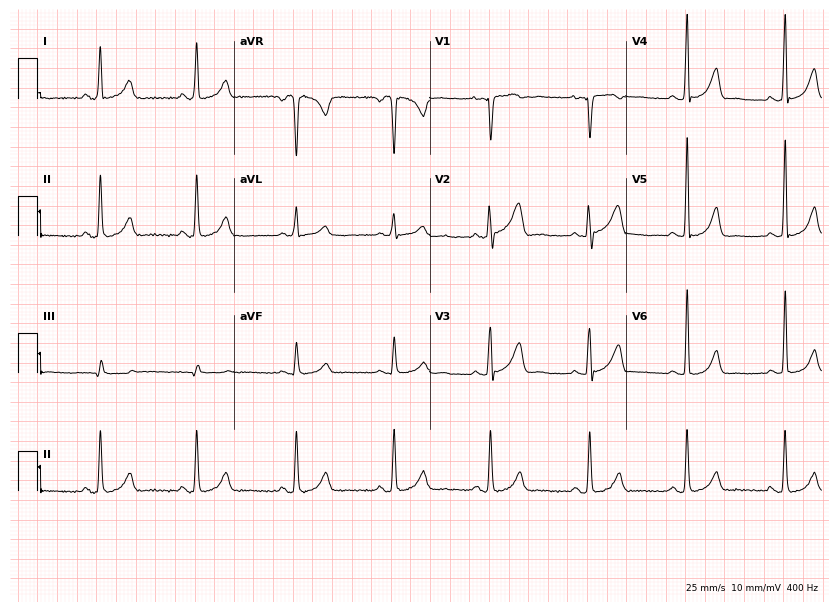
12-lead ECG (8-second recording at 400 Hz) from a female patient, 43 years old. Labelled as a normal ECG.